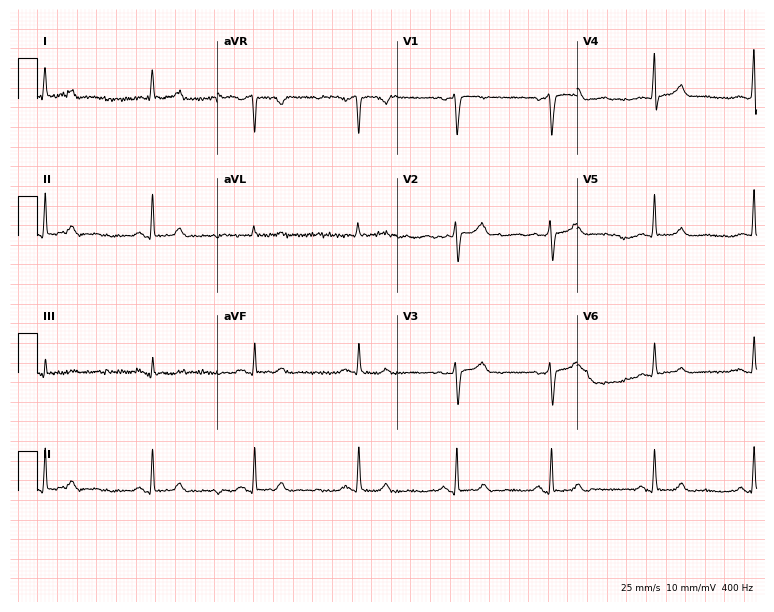
Electrocardiogram, a 68-year-old woman. Overall reading on record: normal ECG.